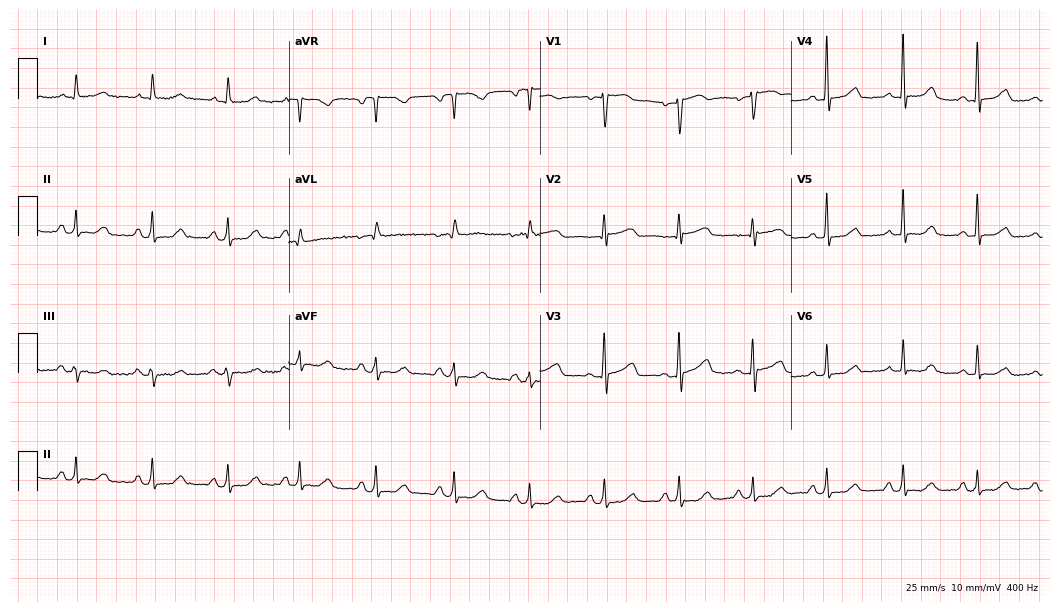
ECG (10.2-second recording at 400 Hz) — a 67-year-old female. Labelled as a normal ECG.